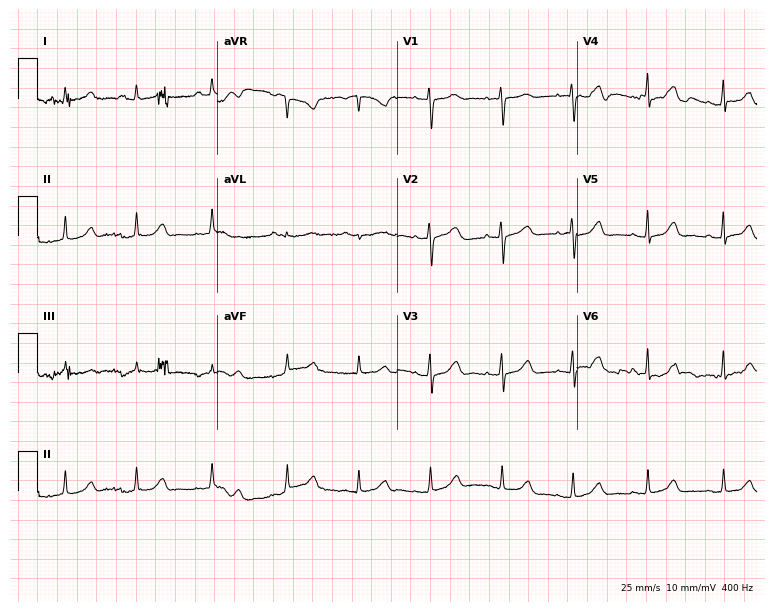
12-lead ECG (7.3-second recording at 400 Hz) from a female, 38 years old. Labelled as a normal ECG.